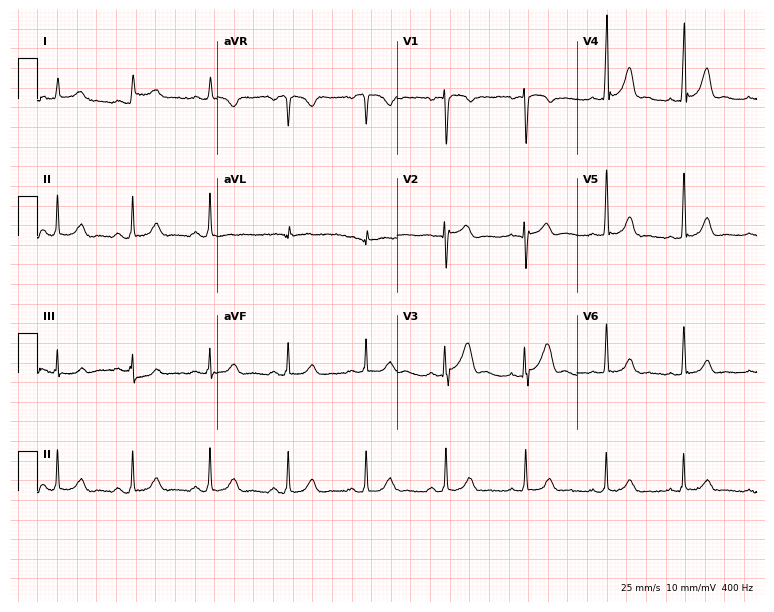
12-lead ECG from a 36-year-old man. Screened for six findings — first-degree AV block, right bundle branch block, left bundle branch block, sinus bradycardia, atrial fibrillation, sinus tachycardia — none is recorded.